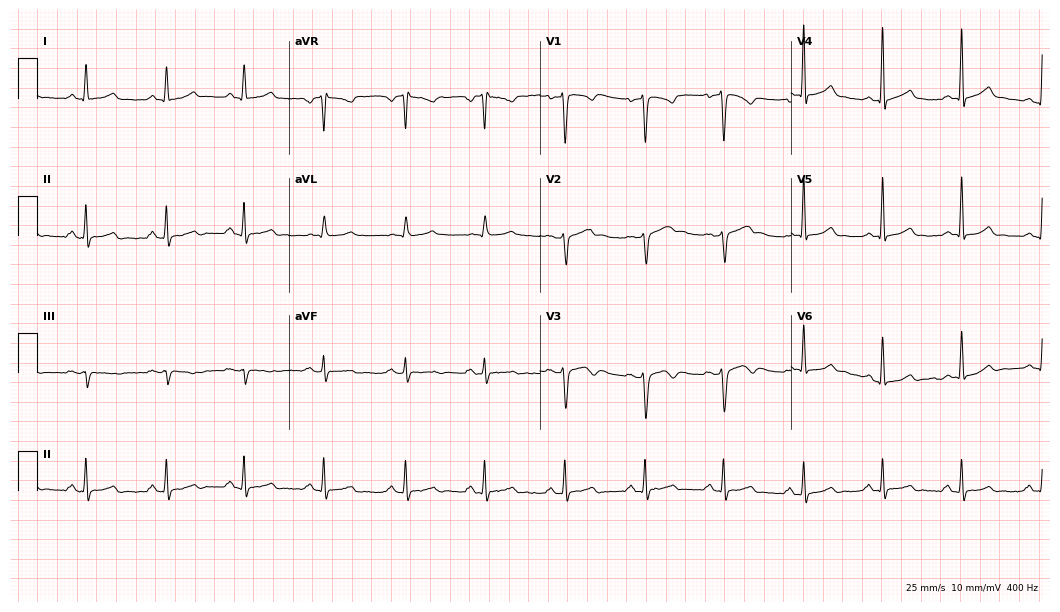
Standard 12-lead ECG recorded from a 50-year-old female patient (10.2-second recording at 400 Hz). Read as a normal ECG.